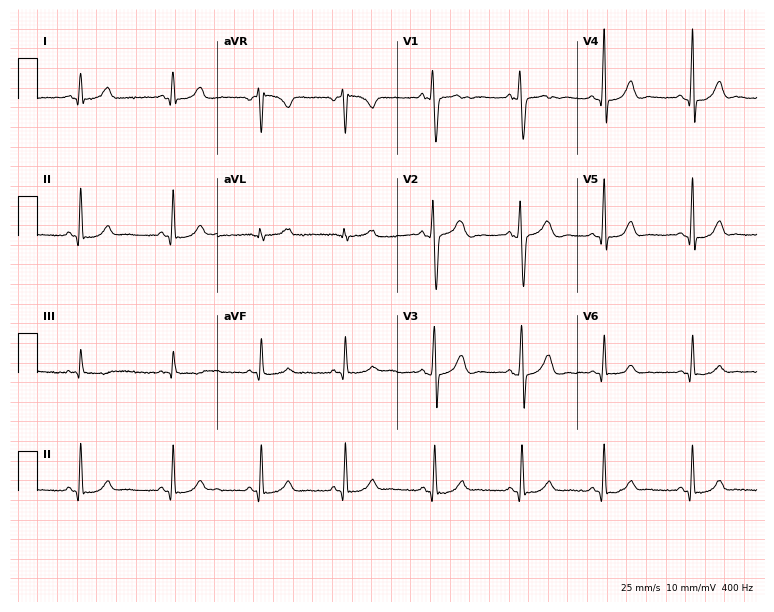
12-lead ECG from a man, 26 years old. Recorded interpretation: within normal limits.